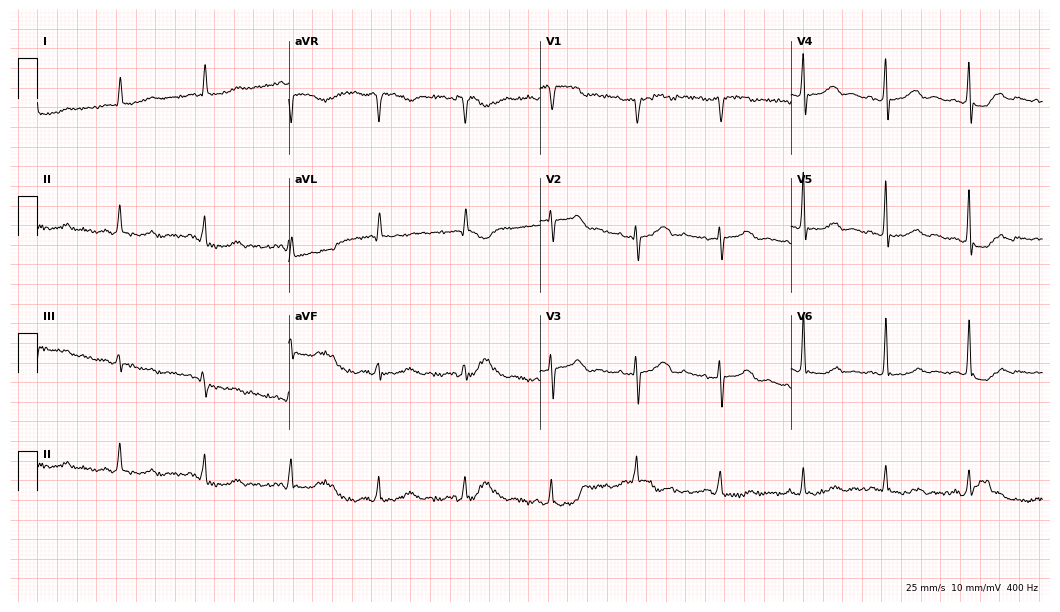
12-lead ECG (10.2-second recording at 400 Hz) from a woman, 62 years old. Labelled as a normal ECG.